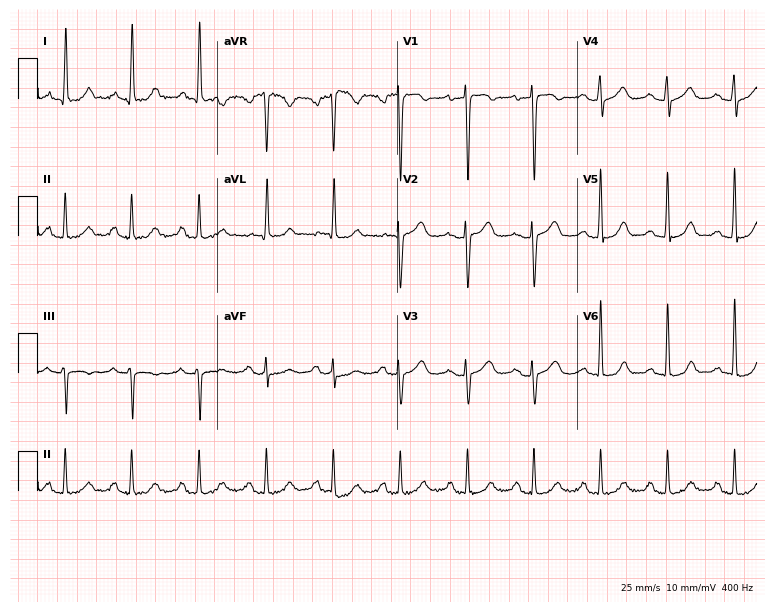
Standard 12-lead ECG recorded from a female patient, 52 years old. Read as a normal ECG.